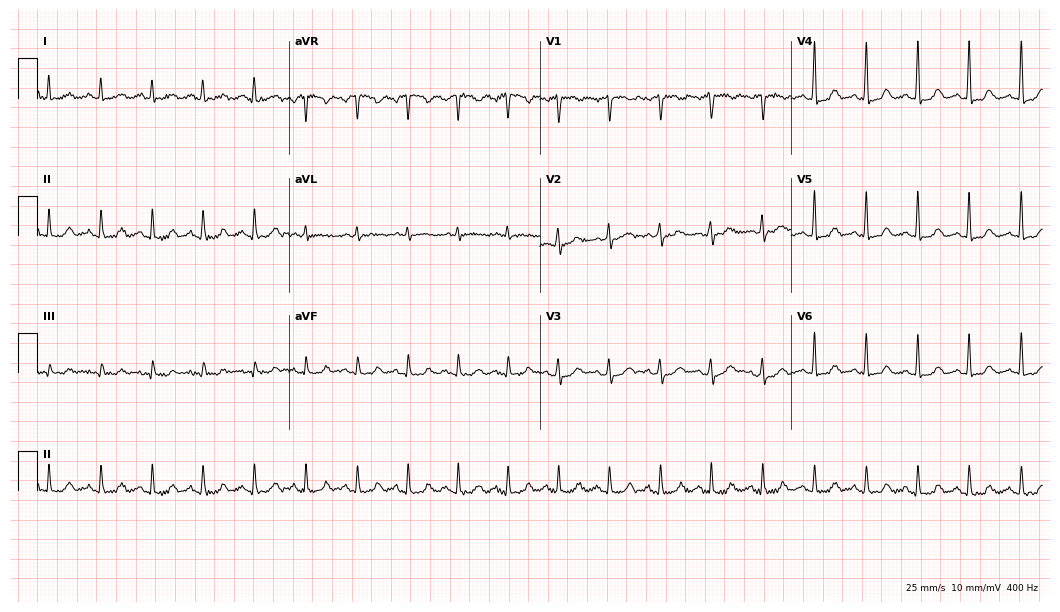
ECG (10.2-second recording at 400 Hz) — a 46-year-old woman. Findings include sinus tachycardia (a sinus rate of 100 beats per minute or more).